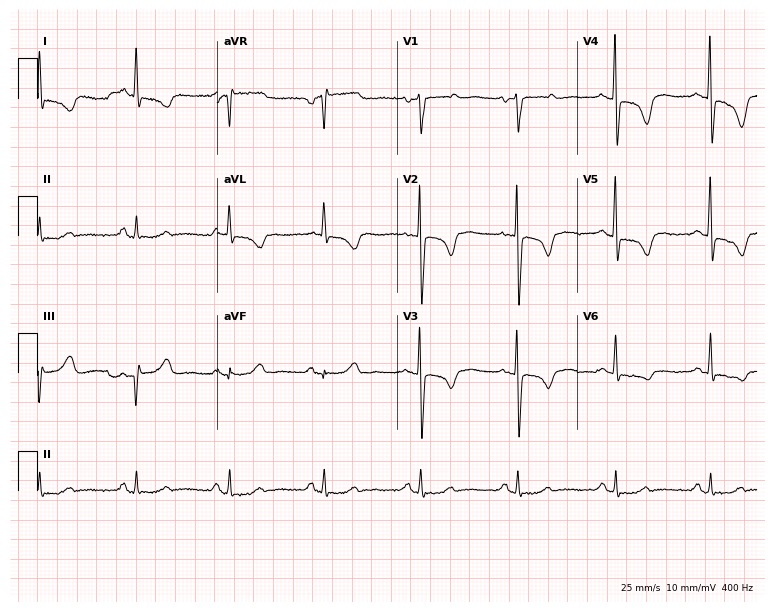
12-lead ECG from a 66-year-old female (7.3-second recording at 400 Hz). No first-degree AV block, right bundle branch block (RBBB), left bundle branch block (LBBB), sinus bradycardia, atrial fibrillation (AF) or sinus tachycardia recorded for this tracing.